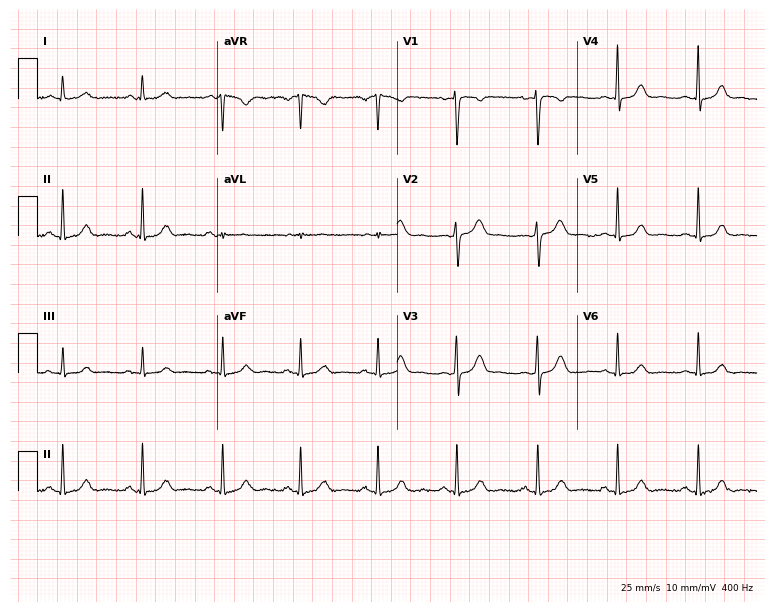
ECG (7.3-second recording at 400 Hz) — a woman, 31 years old. Labelled as a normal ECG.